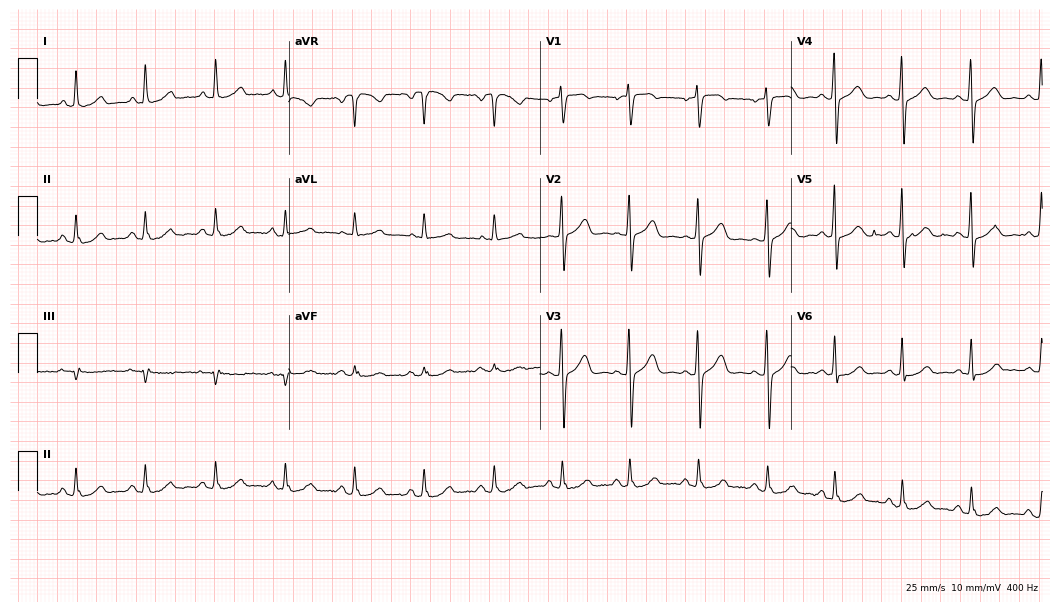
Resting 12-lead electrocardiogram. Patient: a 54-year-old female. Read as a normal ECG.